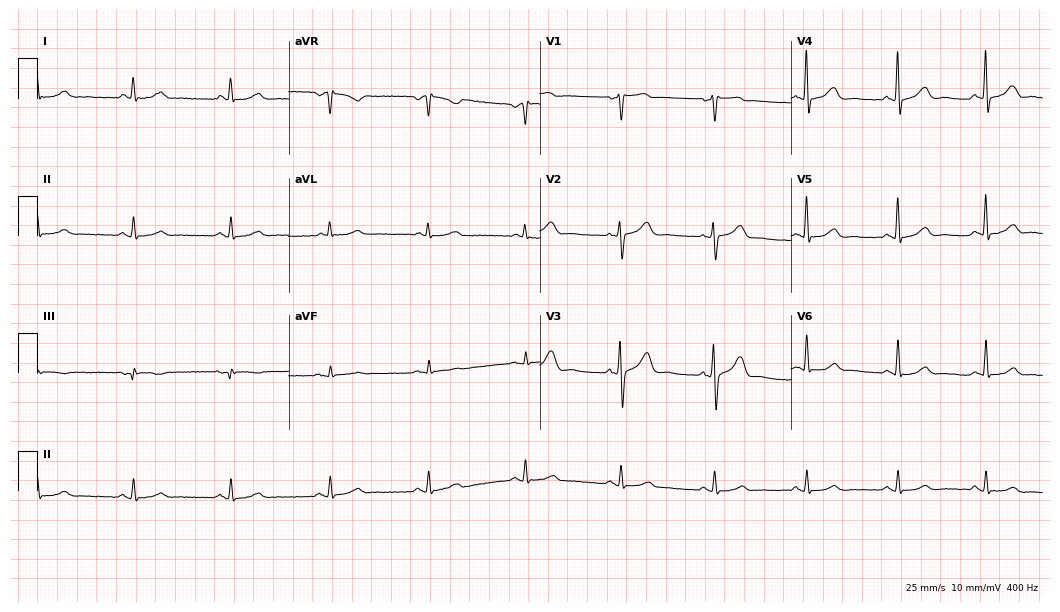
Standard 12-lead ECG recorded from a man, 63 years old. Read as a normal ECG.